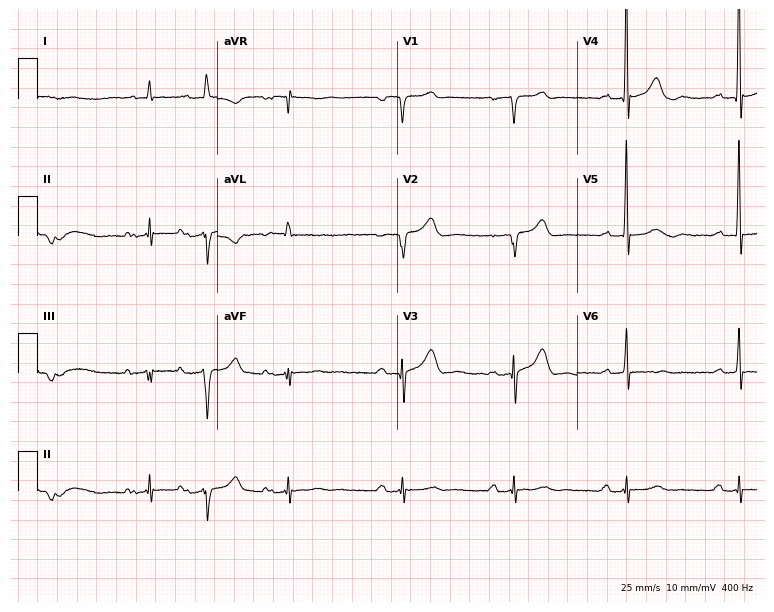
12-lead ECG from a man, 85 years old. Shows first-degree AV block.